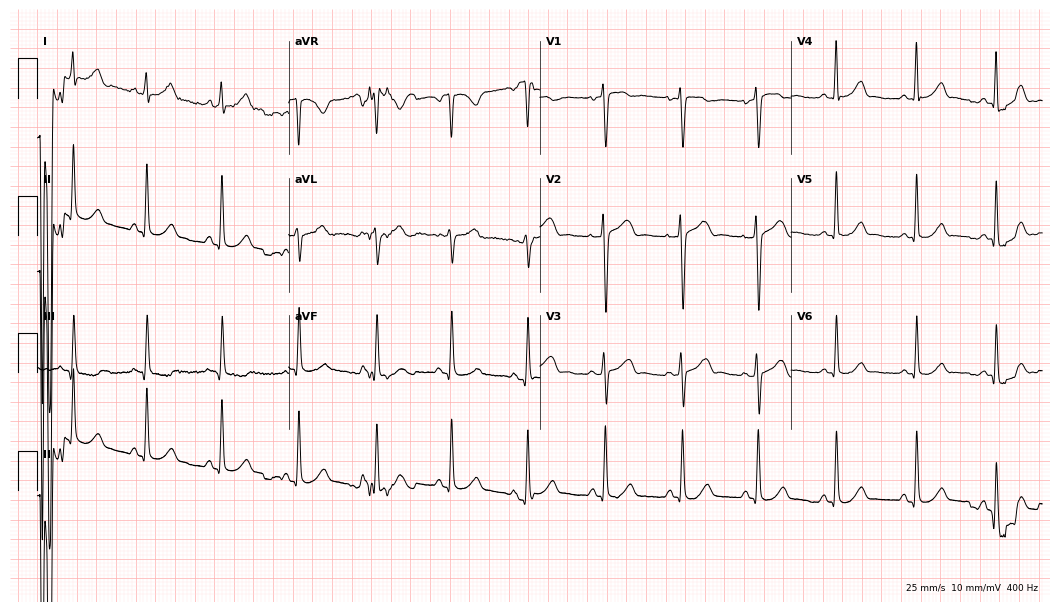
Resting 12-lead electrocardiogram (10.2-second recording at 400 Hz). Patient: a 23-year-old female. None of these six findings is recorded: first-degree AV block, right bundle branch block, left bundle branch block, sinus bradycardia, atrial fibrillation, sinus tachycardia. Findings outside these six are not listed.